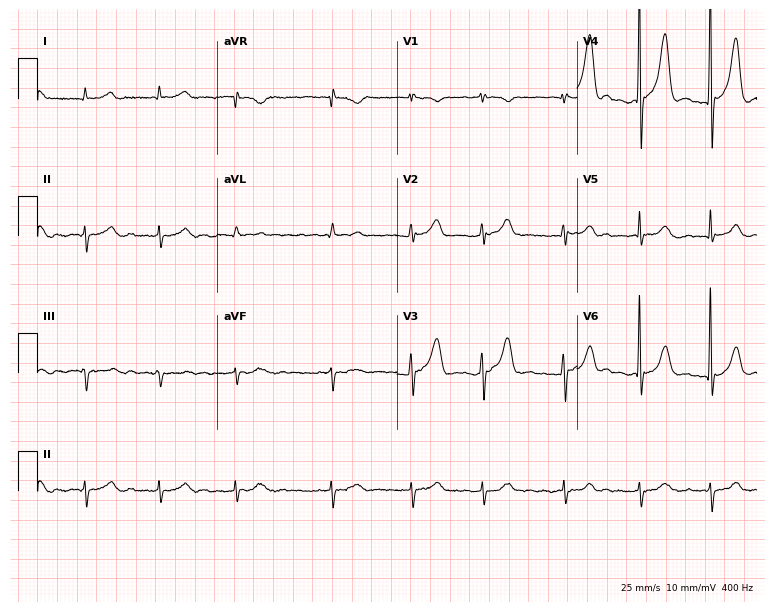
Electrocardiogram, an 83-year-old male patient. Interpretation includes atrial fibrillation (AF).